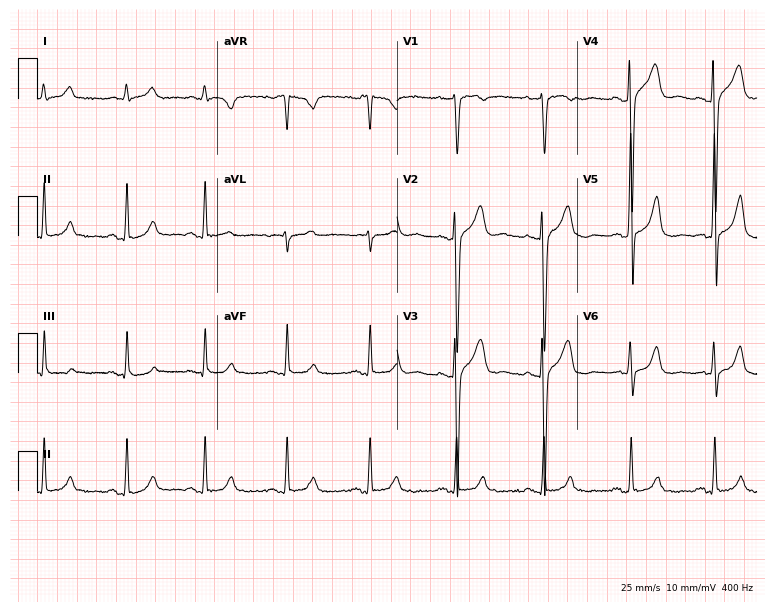
Standard 12-lead ECG recorded from a man, 42 years old (7.3-second recording at 400 Hz). None of these six findings is recorded: first-degree AV block, right bundle branch block, left bundle branch block, sinus bradycardia, atrial fibrillation, sinus tachycardia. Other findings, if any, are not listed.